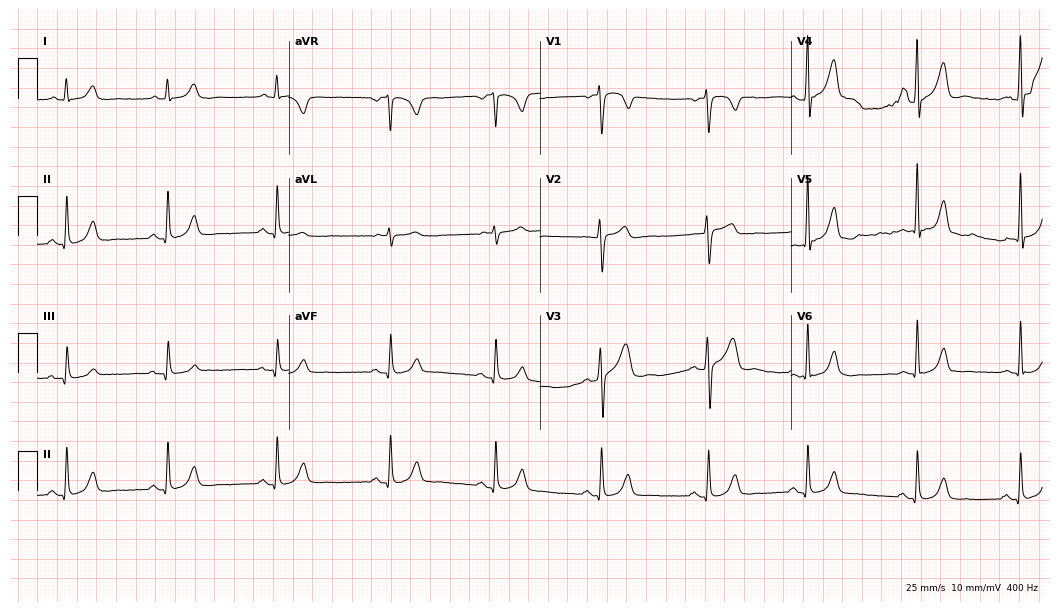
ECG (10.2-second recording at 400 Hz) — a 27-year-old male. Screened for six findings — first-degree AV block, right bundle branch block, left bundle branch block, sinus bradycardia, atrial fibrillation, sinus tachycardia — none is recorded. Findings outside these six are not listed.